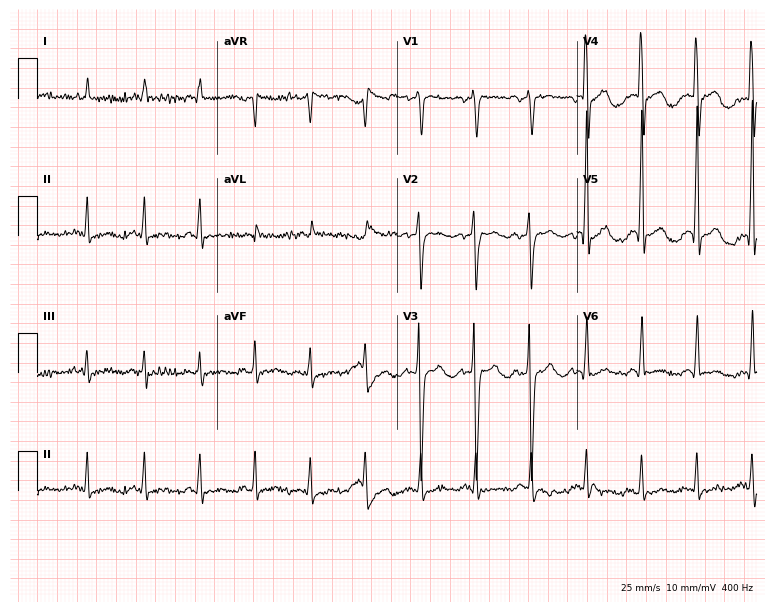
Electrocardiogram (7.3-second recording at 400 Hz), a male patient, 78 years old. Interpretation includes sinus tachycardia (a sinus rate of 100 beats per minute or more).